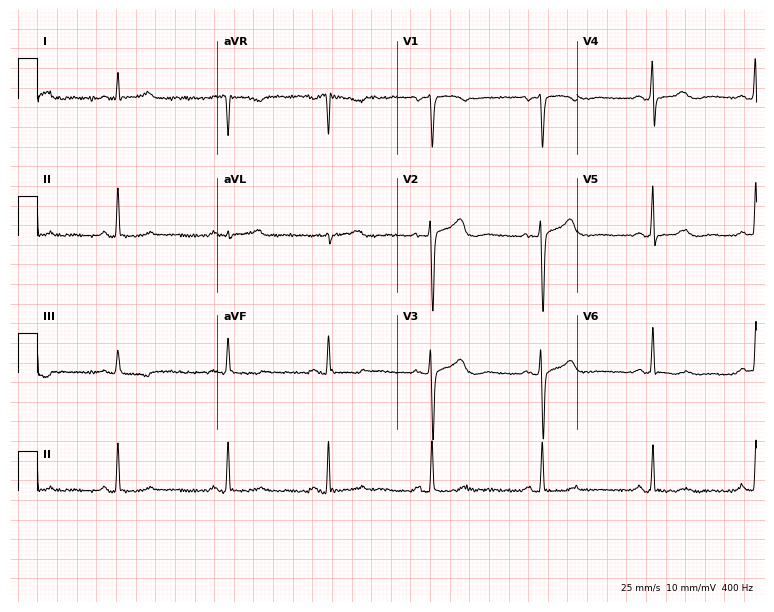
ECG (7.3-second recording at 400 Hz) — a 56-year-old female. Screened for six findings — first-degree AV block, right bundle branch block, left bundle branch block, sinus bradycardia, atrial fibrillation, sinus tachycardia — none is recorded.